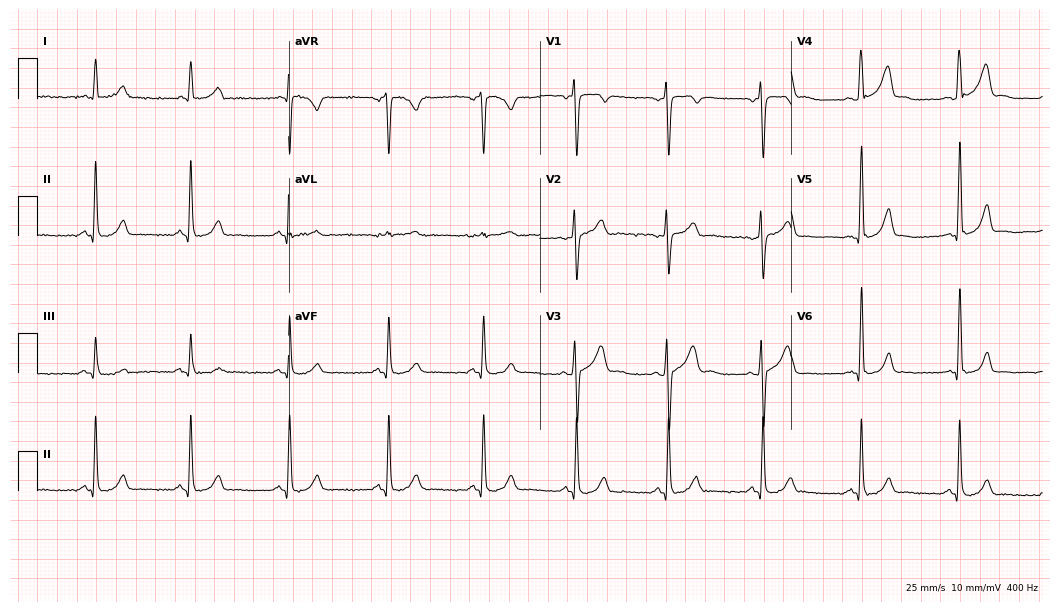
ECG — a male patient, 21 years old. Labelled as a normal ECG.